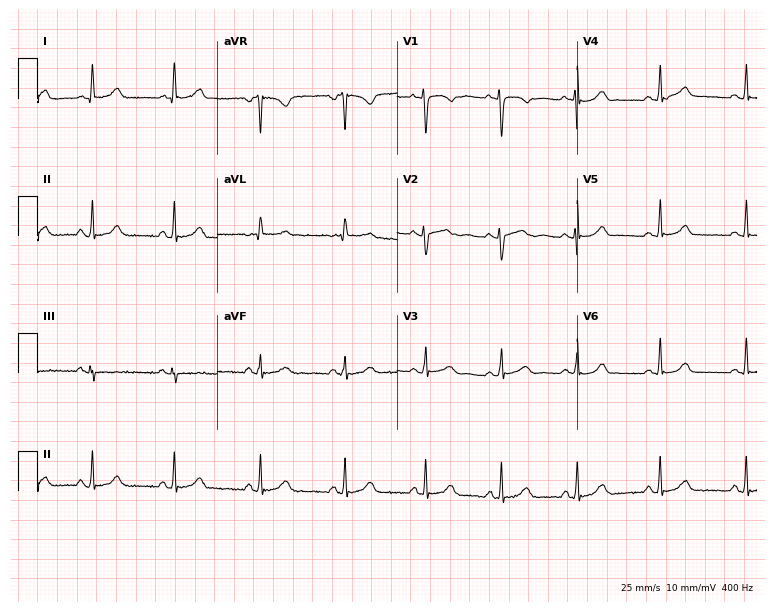
12-lead ECG from a 27-year-old woman. Recorded interpretation: within normal limits.